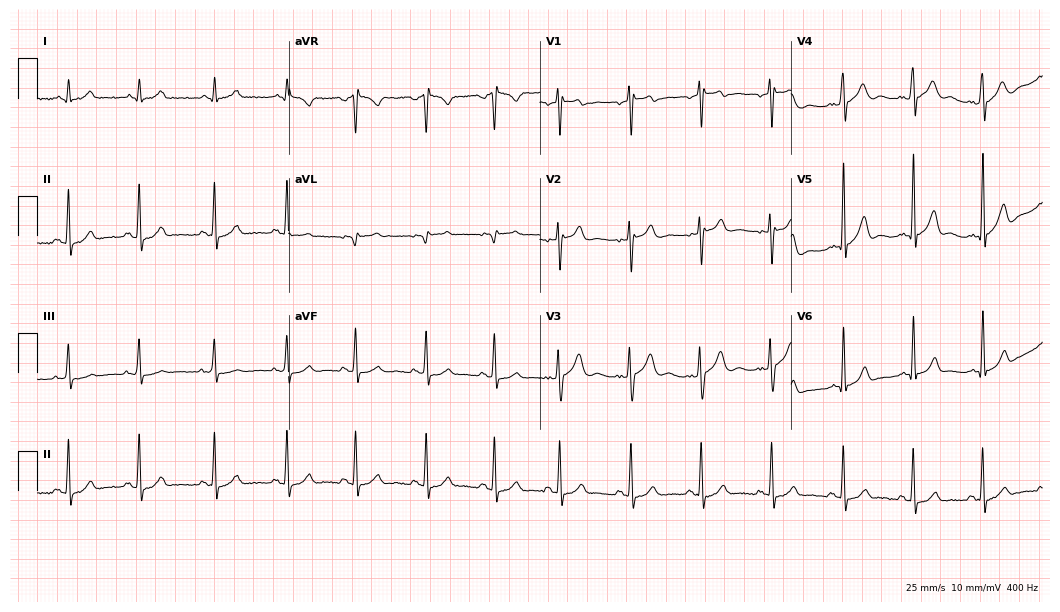
Electrocardiogram, an 18-year-old male patient. Overall reading on record: normal ECG.